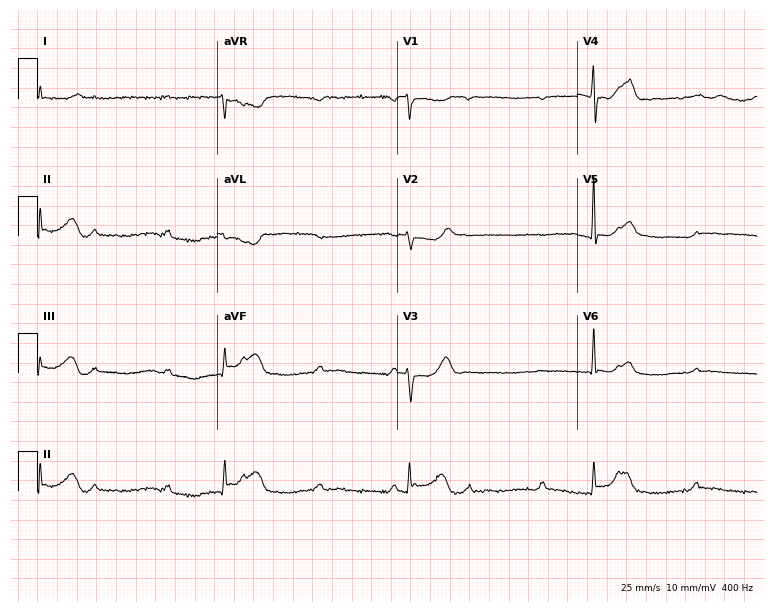
Standard 12-lead ECG recorded from a man, 79 years old. None of these six findings is recorded: first-degree AV block, right bundle branch block (RBBB), left bundle branch block (LBBB), sinus bradycardia, atrial fibrillation (AF), sinus tachycardia.